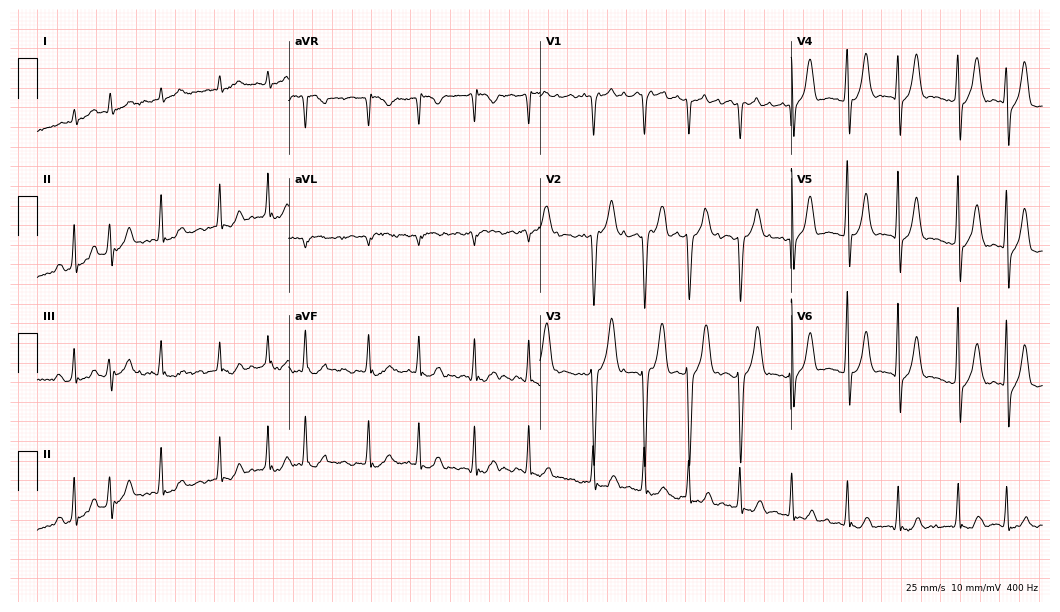
12-lead ECG from an 82-year-old male. Findings include atrial fibrillation (AF), sinus tachycardia (a sinus rate of 100 beats per minute or more).